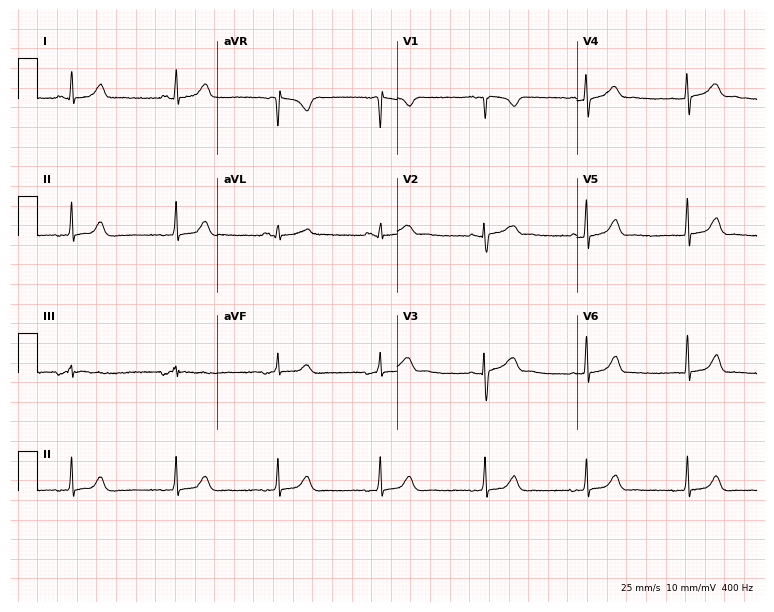
12-lead ECG from a 25-year-old woman. No first-degree AV block, right bundle branch block (RBBB), left bundle branch block (LBBB), sinus bradycardia, atrial fibrillation (AF) or sinus tachycardia recorded for this tracing. Other findings, if any, are not listed.